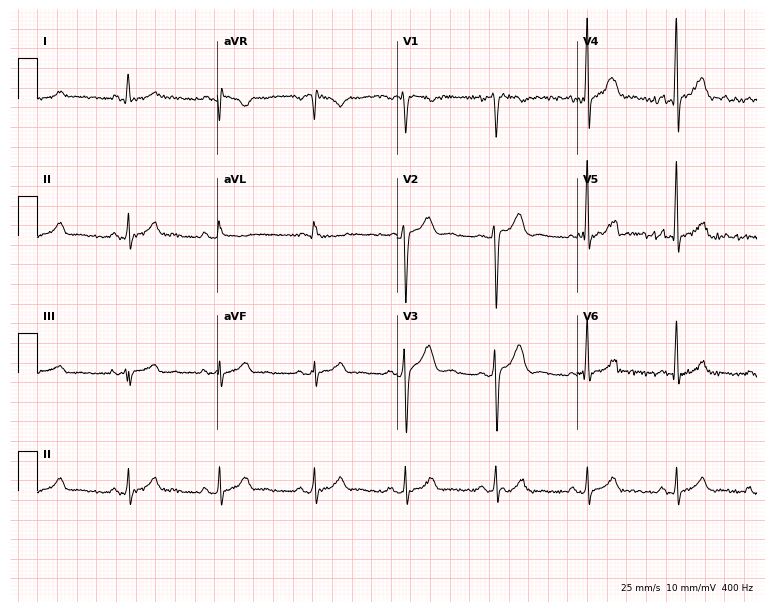
Electrocardiogram (7.3-second recording at 400 Hz), a male, 30 years old. Of the six screened findings (first-degree AV block, right bundle branch block, left bundle branch block, sinus bradycardia, atrial fibrillation, sinus tachycardia), none is recorded.